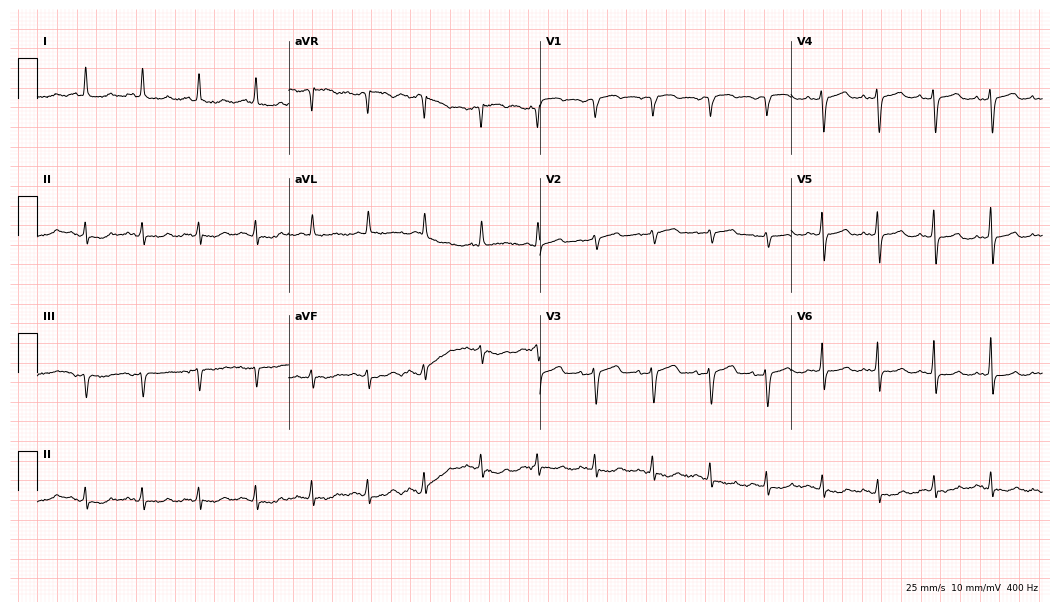
Standard 12-lead ECG recorded from a woman, 79 years old (10.2-second recording at 400 Hz). The tracing shows sinus tachycardia (a sinus rate of 100 beats per minute or more).